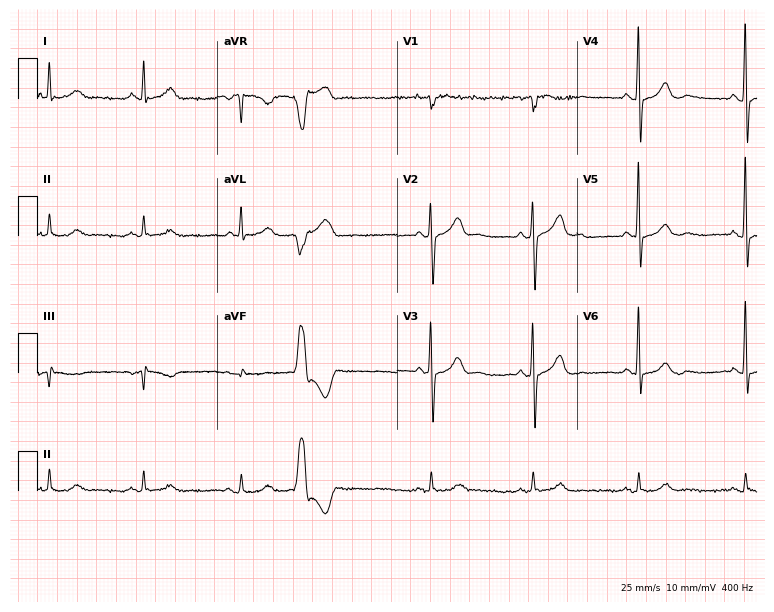
Resting 12-lead electrocardiogram (7.3-second recording at 400 Hz). Patient: a 60-year-old man. None of these six findings is recorded: first-degree AV block, right bundle branch block (RBBB), left bundle branch block (LBBB), sinus bradycardia, atrial fibrillation (AF), sinus tachycardia. Only these six findings were labelled.